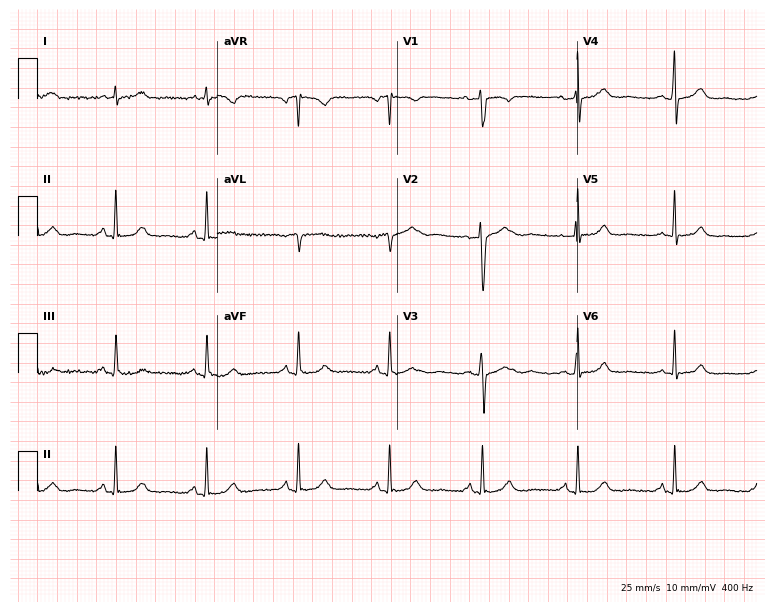
ECG (7.3-second recording at 400 Hz) — a 50-year-old female. Labelled as a normal ECG.